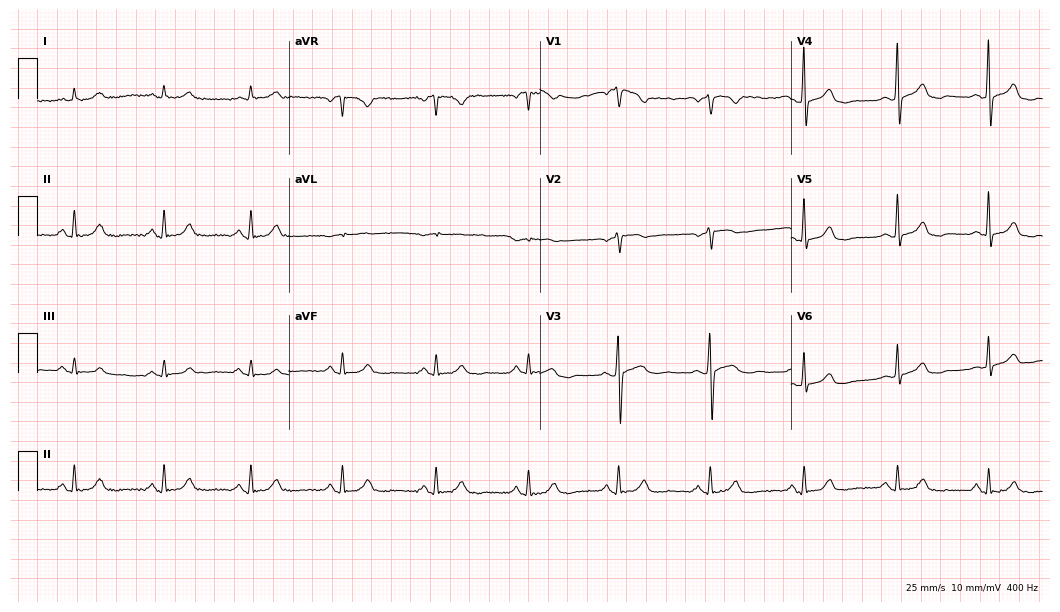
12-lead ECG from a man, 77 years old (10.2-second recording at 400 Hz). No first-degree AV block, right bundle branch block (RBBB), left bundle branch block (LBBB), sinus bradycardia, atrial fibrillation (AF) or sinus tachycardia recorded for this tracing.